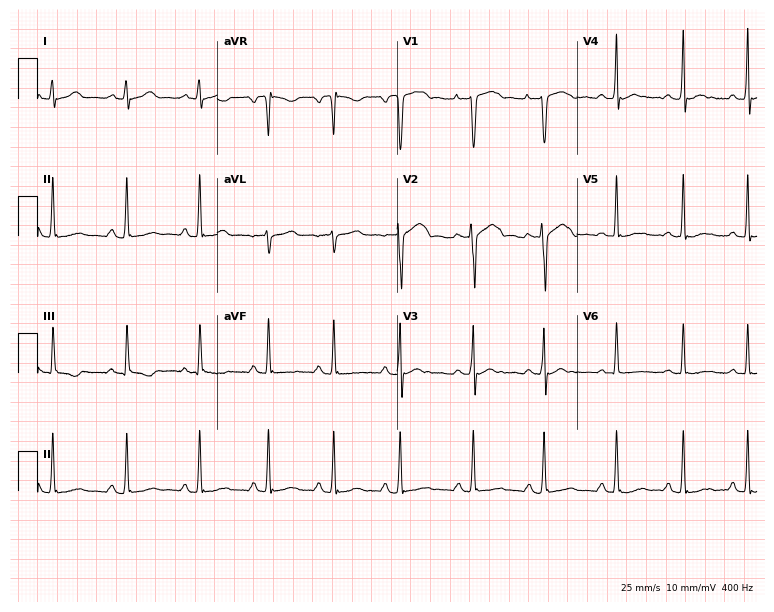
Standard 12-lead ECG recorded from an 18-year-old man (7.3-second recording at 400 Hz). None of these six findings is recorded: first-degree AV block, right bundle branch block, left bundle branch block, sinus bradycardia, atrial fibrillation, sinus tachycardia.